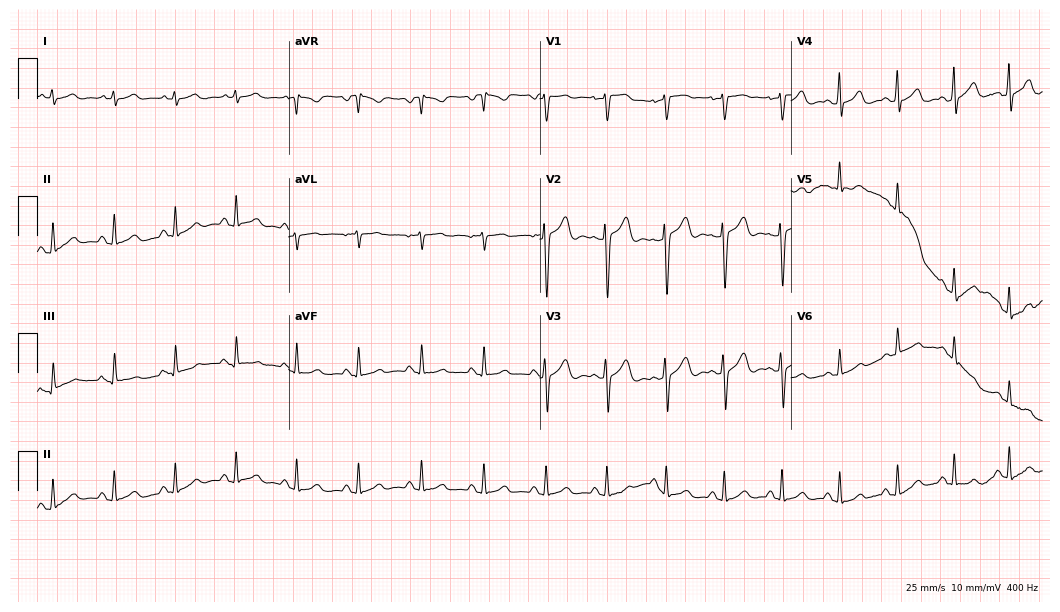
ECG (10.2-second recording at 400 Hz) — a 29-year-old female. Labelled as a normal ECG.